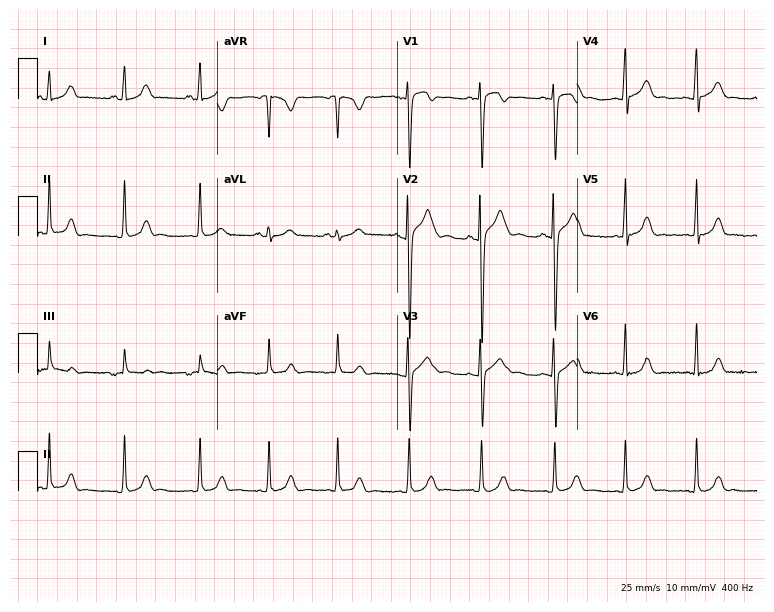
ECG (7.3-second recording at 400 Hz) — a female patient, 17 years old. Screened for six findings — first-degree AV block, right bundle branch block (RBBB), left bundle branch block (LBBB), sinus bradycardia, atrial fibrillation (AF), sinus tachycardia — none is recorded. Findings outside these six are not listed.